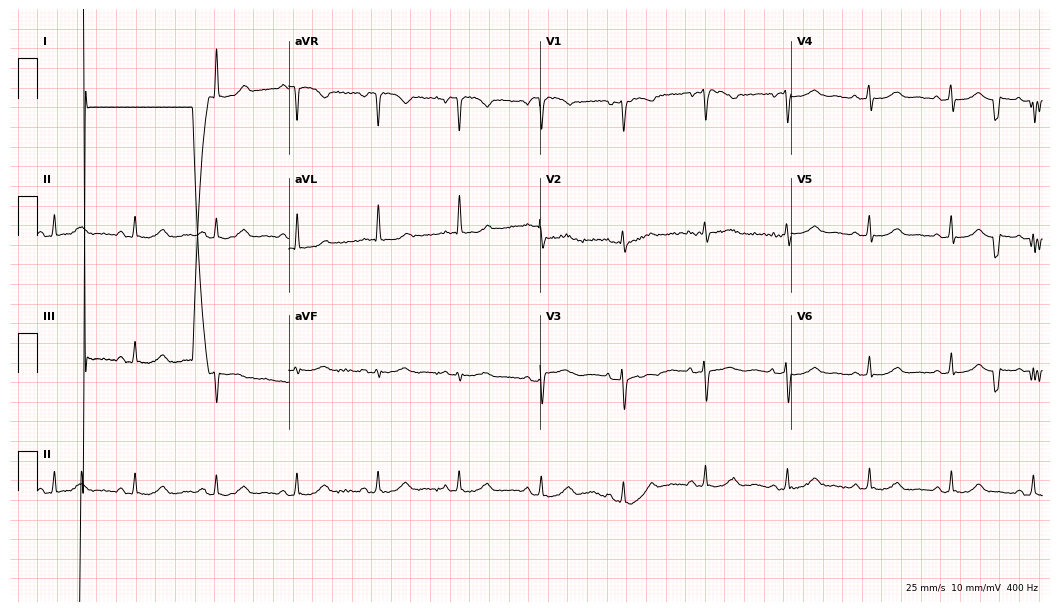
Resting 12-lead electrocardiogram (10.2-second recording at 400 Hz). Patient: a female, 68 years old. Read as a normal ECG.